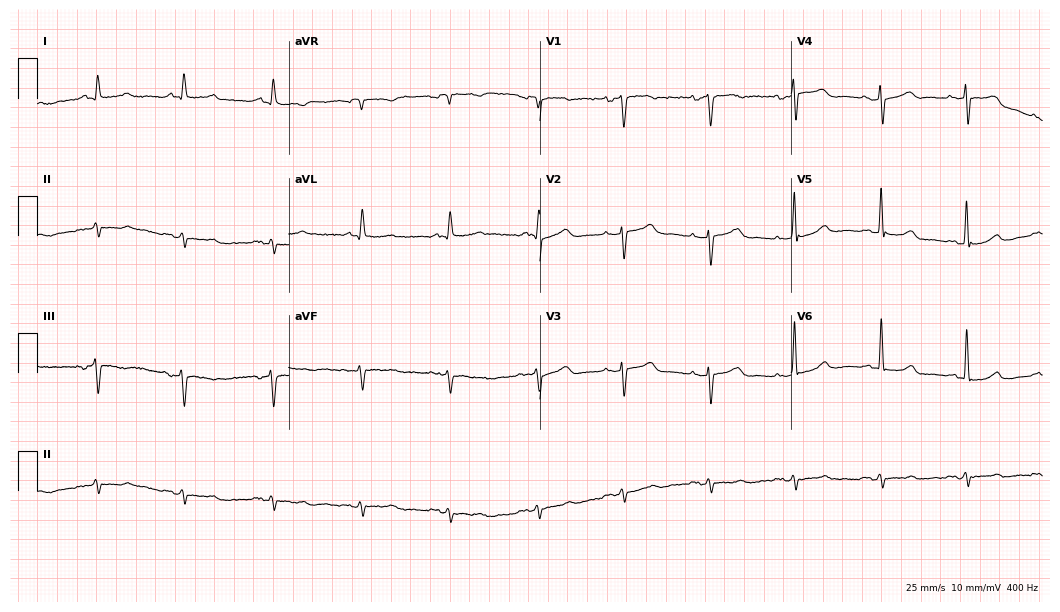
12-lead ECG from a male, 79 years old (10.2-second recording at 400 Hz). Recorded interpretation: within normal limits.